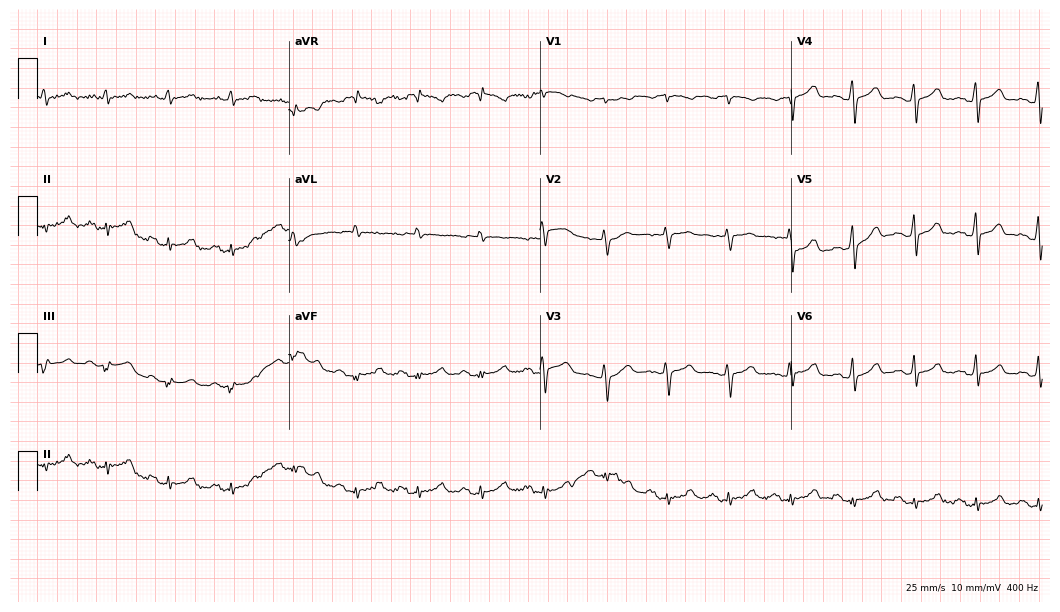
12-lead ECG from a male, 71 years old. Recorded interpretation: within normal limits.